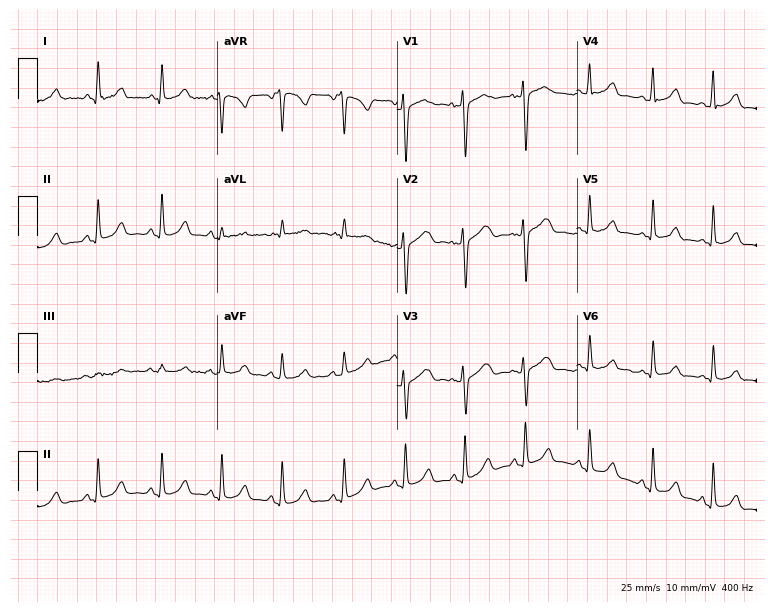
Resting 12-lead electrocardiogram. Patient: a woman, 21 years old. None of these six findings is recorded: first-degree AV block, right bundle branch block, left bundle branch block, sinus bradycardia, atrial fibrillation, sinus tachycardia.